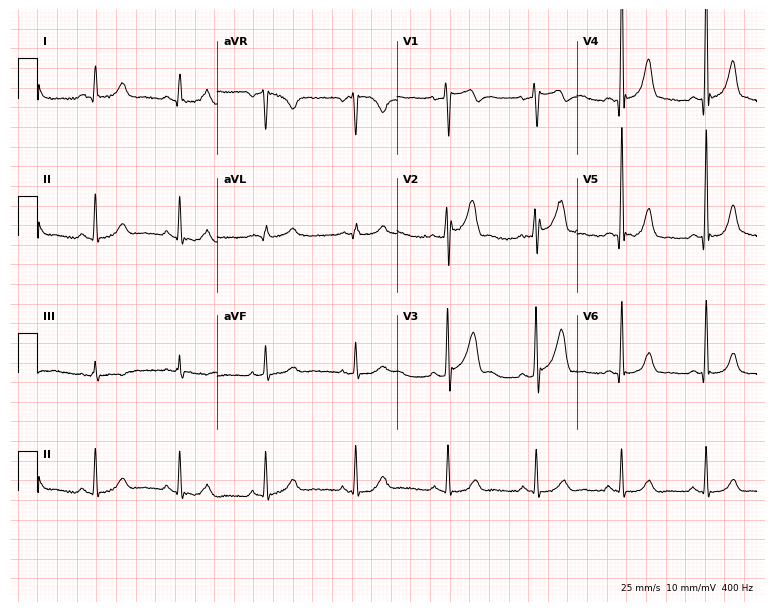
Standard 12-lead ECG recorded from a man, 42 years old. None of these six findings is recorded: first-degree AV block, right bundle branch block (RBBB), left bundle branch block (LBBB), sinus bradycardia, atrial fibrillation (AF), sinus tachycardia.